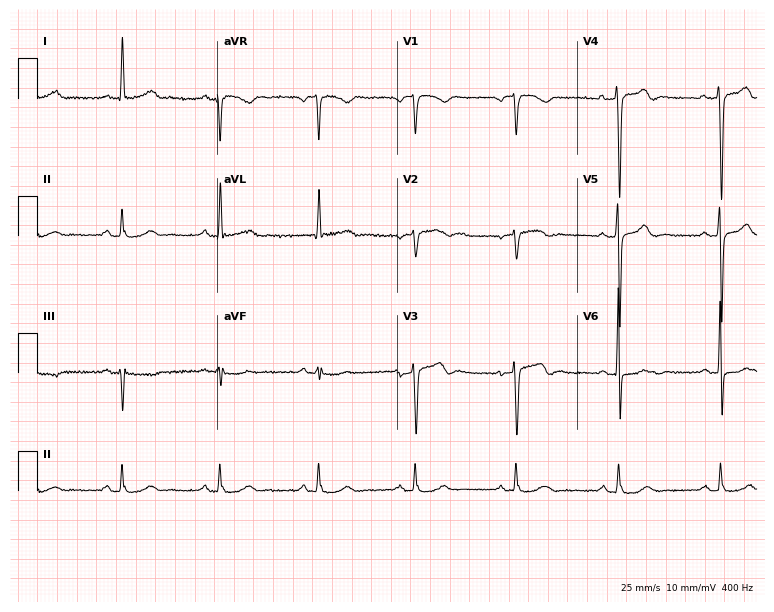
Resting 12-lead electrocardiogram (7.3-second recording at 400 Hz). Patient: a man, 69 years old. None of these six findings is recorded: first-degree AV block, right bundle branch block, left bundle branch block, sinus bradycardia, atrial fibrillation, sinus tachycardia.